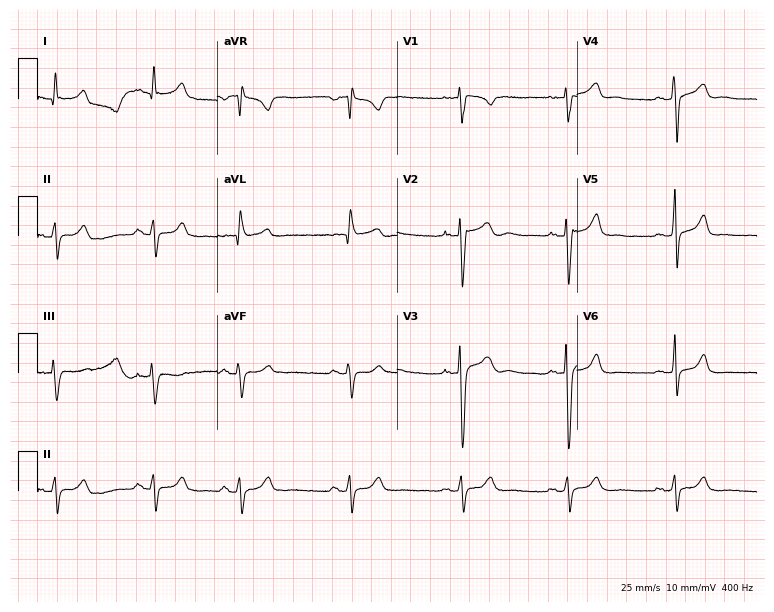
12-lead ECG (7.3-second recording at 400 Hz) from a 26-year-old male. Labelled as a normal ECG.